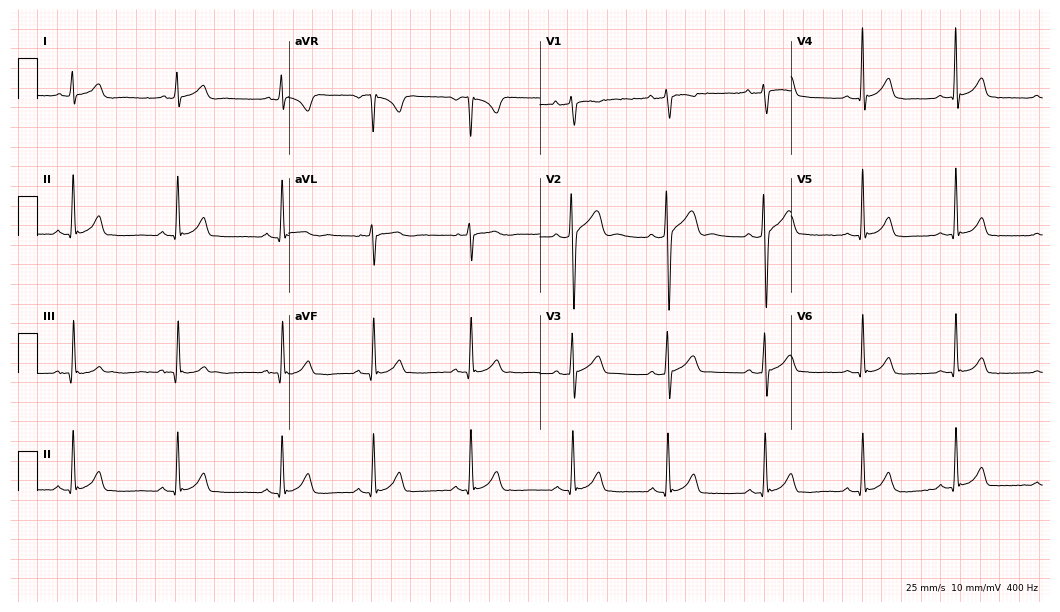
Resting 12-lead electrocardiogram. Patient: a male, 22 years old. None of these six findings is recorded: first-degree AV block, right bundle branch block, left bundle branch block, sinus bradycardia, atrial fibrillation, sinus tachycardia. Other findings, if any, are not listed.